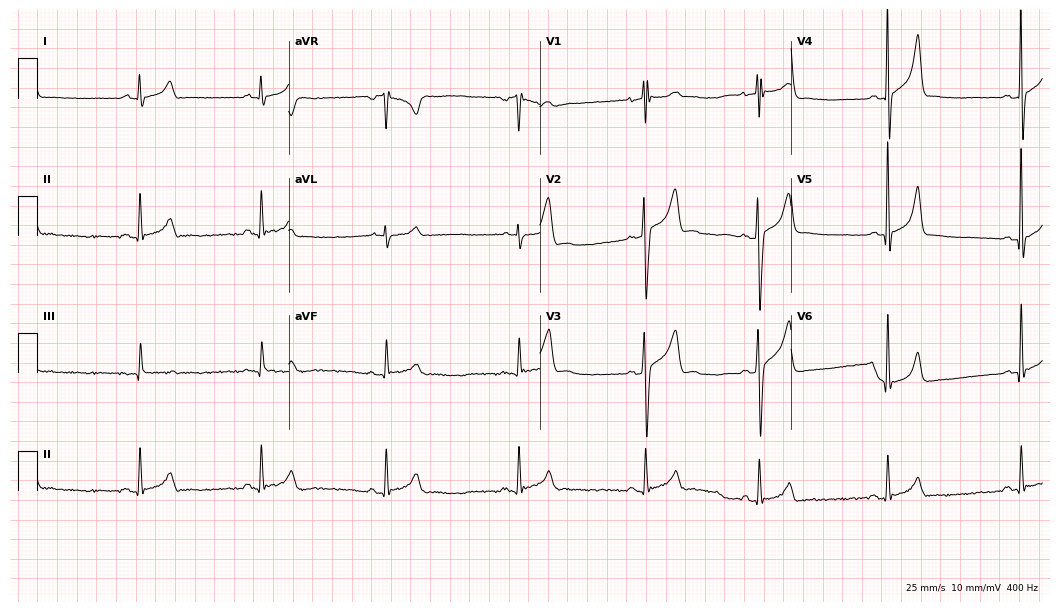
12-lead ECG from a 21-year-old male. Screened for six findings — first-degree AV block, right bundle branch block, left bundle branch block, sinus bradycardia, atrial fibrillation, sinus tachycardia — none is recorded.